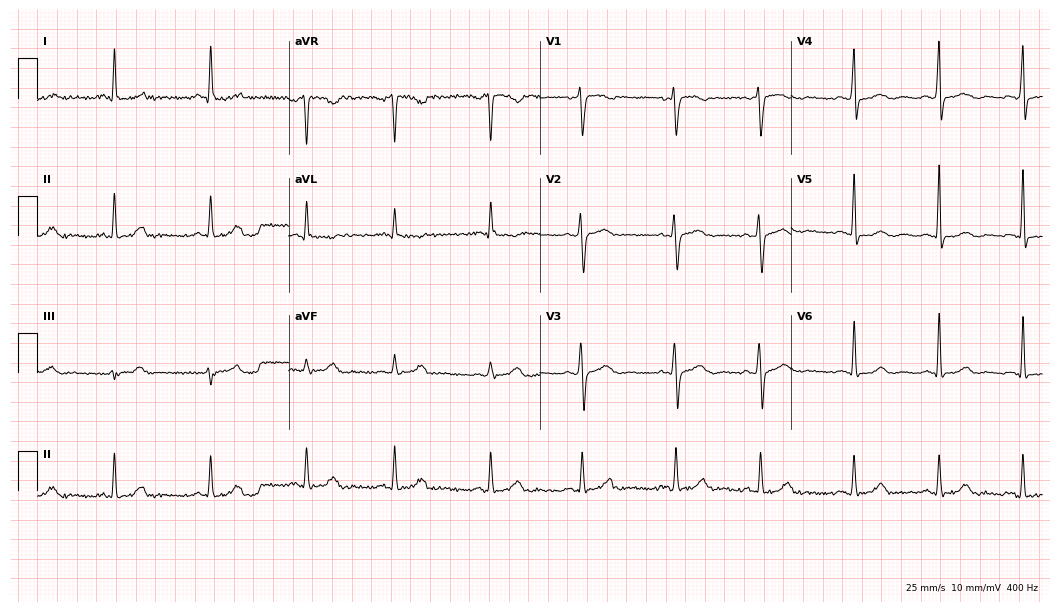
12-lead ECG from a female, 64 years old. No first-degree AV block, right bundle branch block, left bundle branch block, sinus bradycardia, atrial fibrillation or sinus tachycardia recorded for this tracing.